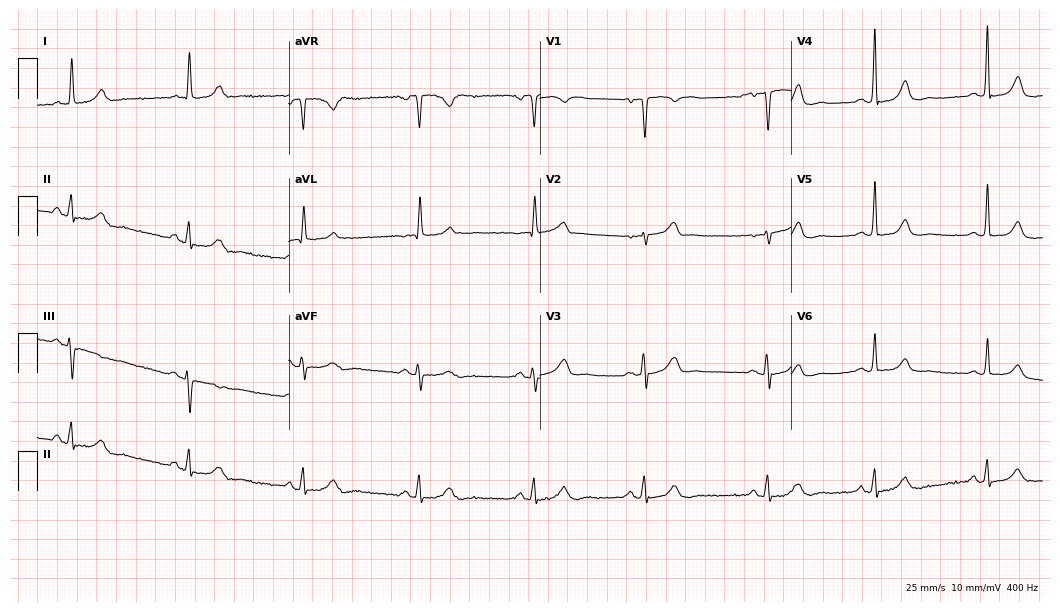
Electrocardiogram (10.2-second recording at 400 Hz), a woman, 72 years old. Of the six screened findings (first-degree AV block, right bundle branch block, left bundle branch block, sinus bradycardia, atrial fibrillation, sinus tachycardia), none is recorded. Findings outside these six are not listed.